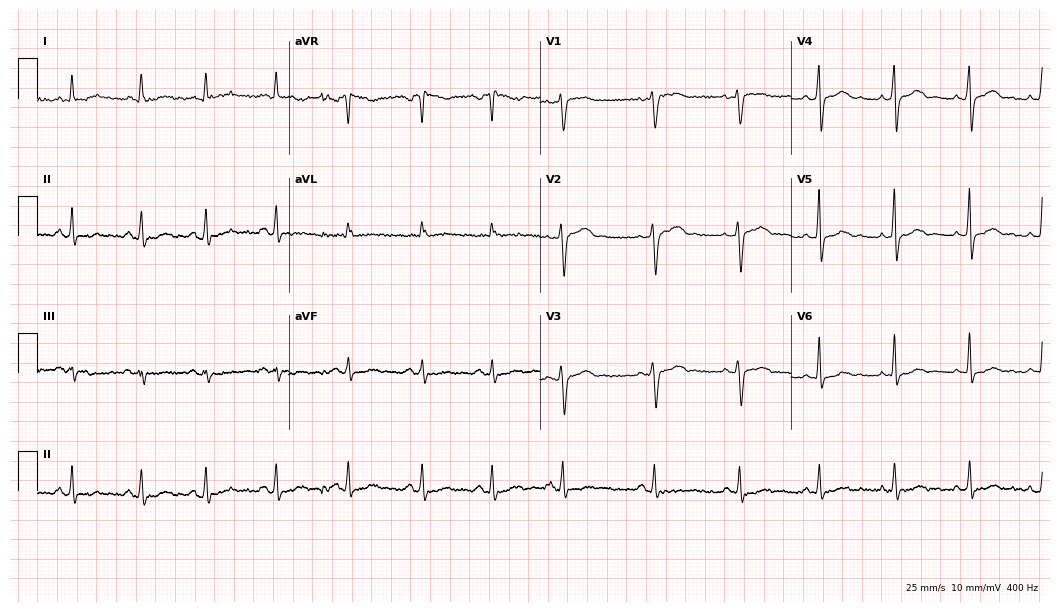
Electrocardiogram, a 42-year-old woman. Overall reading on record: normal ECG.